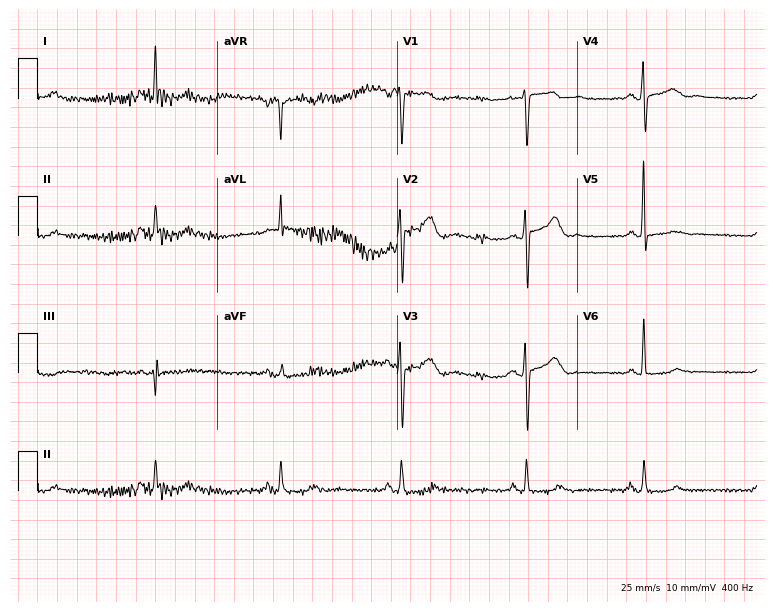
Electrocardiogram, a female, 55 years old. Of the six screened findings (first-degree AV block, right bundle branch block, left bundle branch block, sinus bradycardia, atrial fibrillation, sinus tachycardia), none is recorded. Other findings, if any, are not listed.